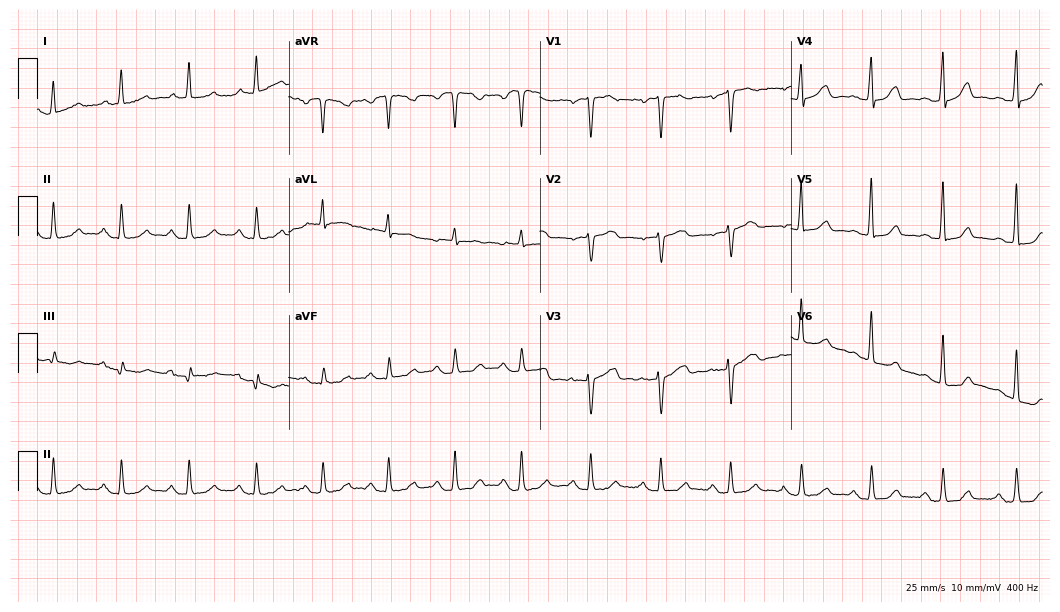
Electrocardiogram, a 64-year-old female patient. Of the six screened findings (first-degree AV block, right bundle branch block (RBBB), left bundle branch block (LBBB), sinus bradycardia, atrial fibrillation (AF), sinus tachycardia), none is recorded. Findings outside these six are not listed.